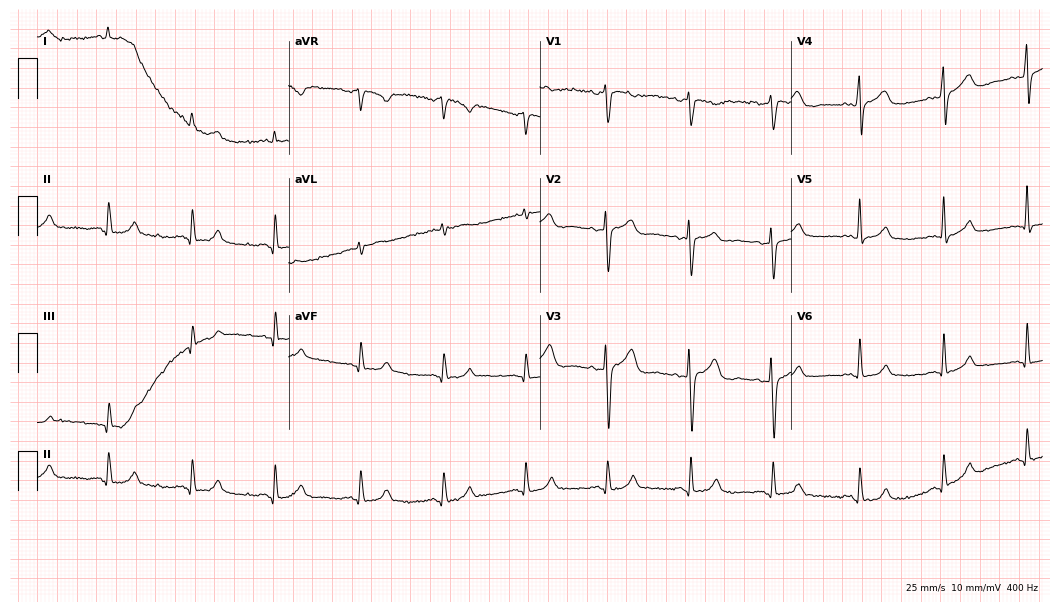
Standard 12-lead ECG recorded from a 48-year-old male patient. Read as a normal ECG.